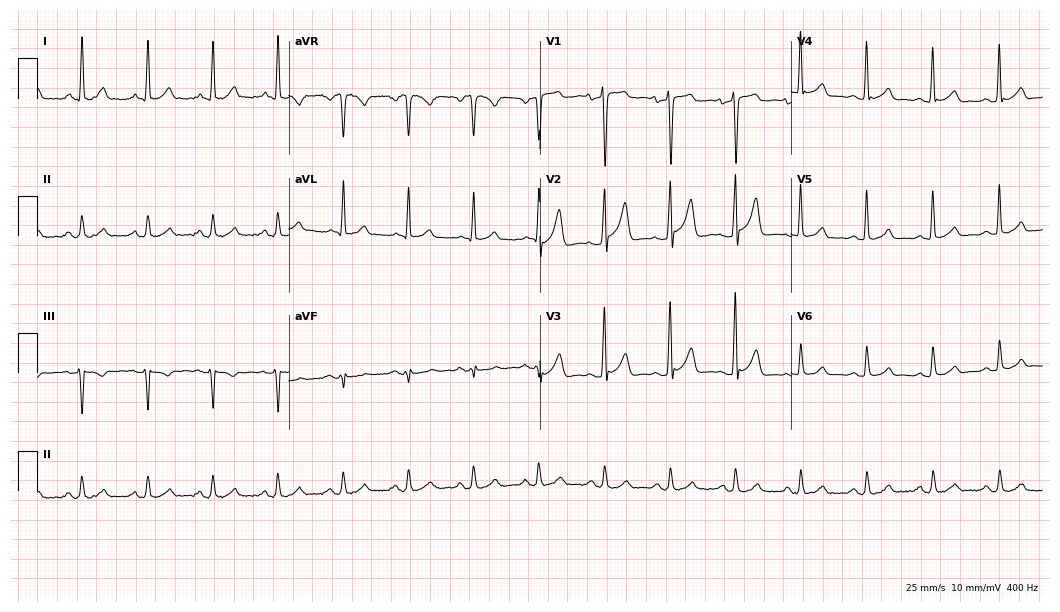
ECG — a 38-year-old male. Labelled as a normal ECG.